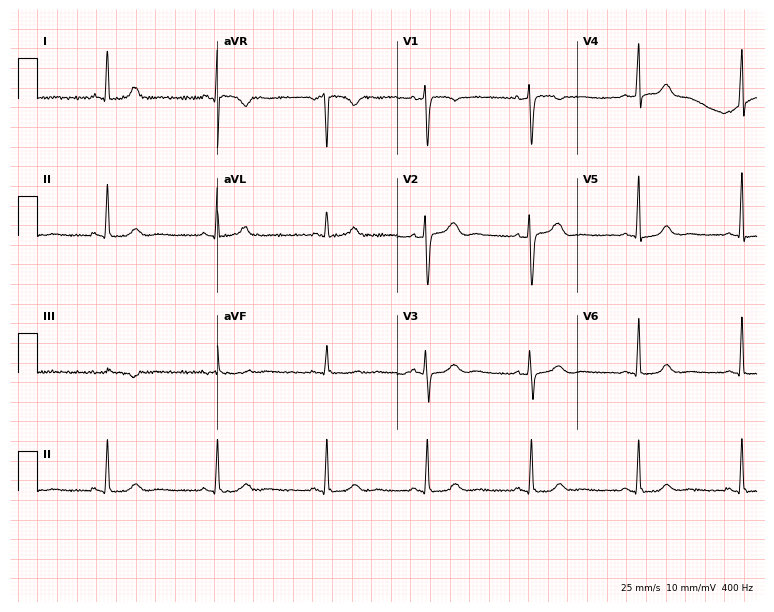
12-lead ECG from a 43-year-old woman. Screened for six findings — first-degree AV block, right bundle branch block (RBBB), left bundle branch block (LBBB), sinus bradycardia, atrial fibrillation (AF), sinus tachycardia — none is recorded.